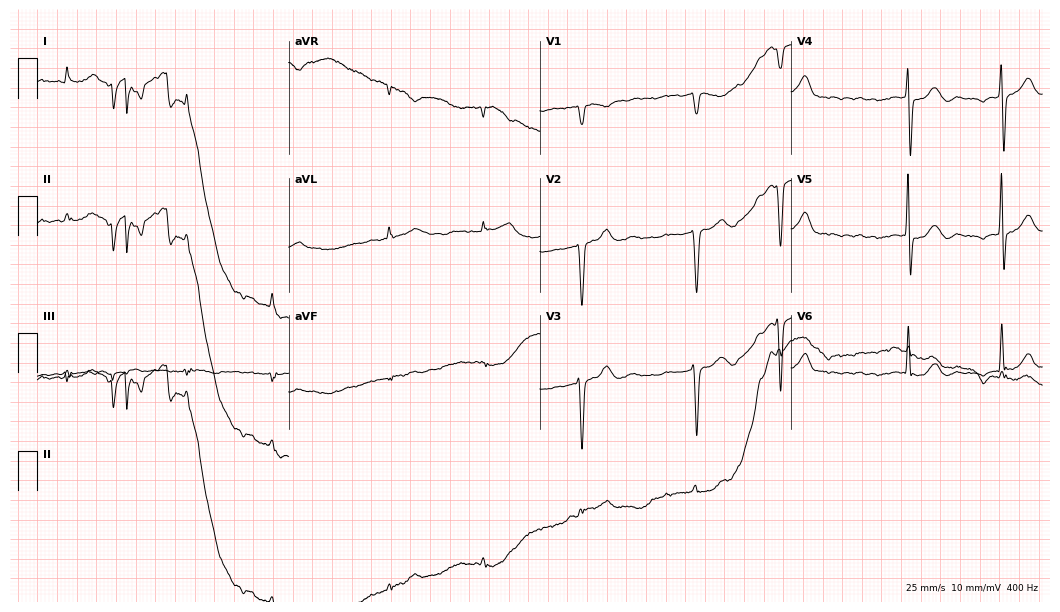
ECG (10.2-second recording at 400 Hz) — a 76-year-old male. Screened for six findings — first-degree AV block, right bundle branch block (RBBB), left bundle branch block (LBBB), sinus bradycardia, atrial fibrillation (AF), sinus tachycardia — none is recorded.